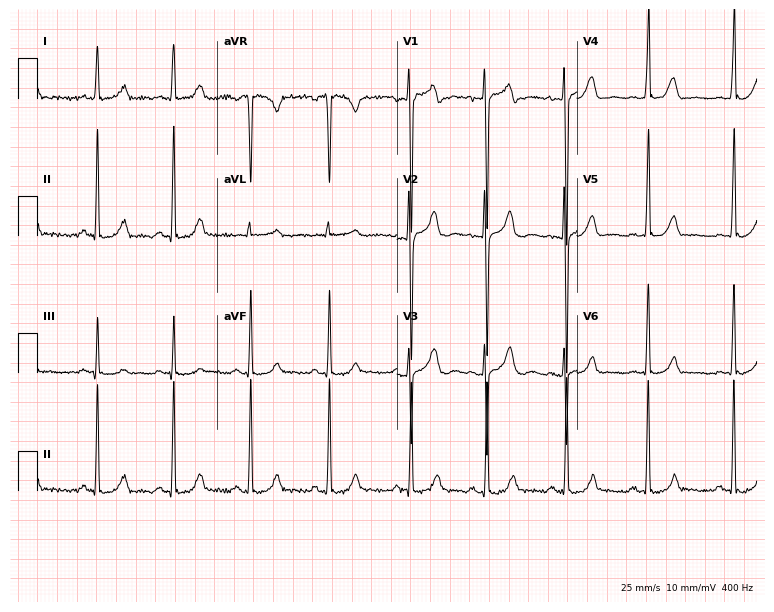
Standard 12-lead ECG recorded from a woman, 20 years old (7.3-second recording at 400 Hz). None of these six findings is recorded: first-degree AV block, right bundle branch block, left bundle branch block, sinus bradycardia, atrial fibrillation, sinus tachycardia. Findings outside these six are not listed.